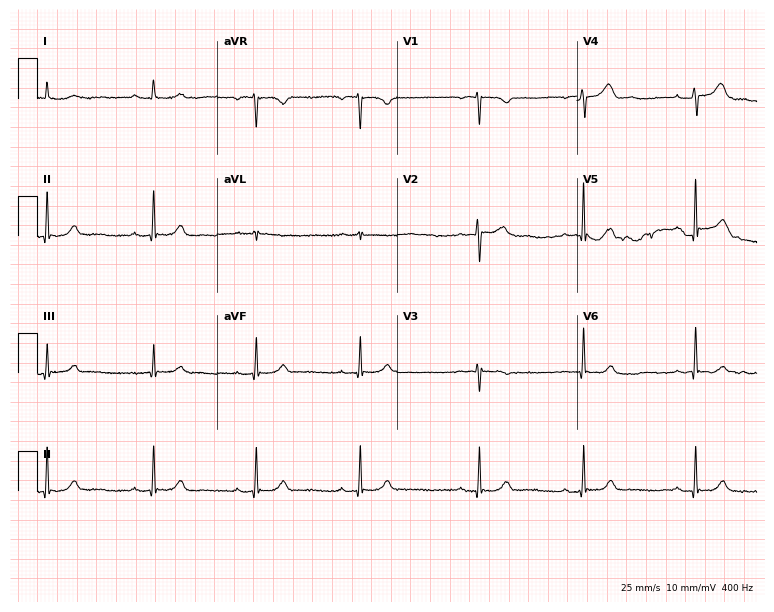
Electrocardiogram (7.3-second recording at 400 Hz), a female, 37 years old. Overall reading on record: normal ECG.